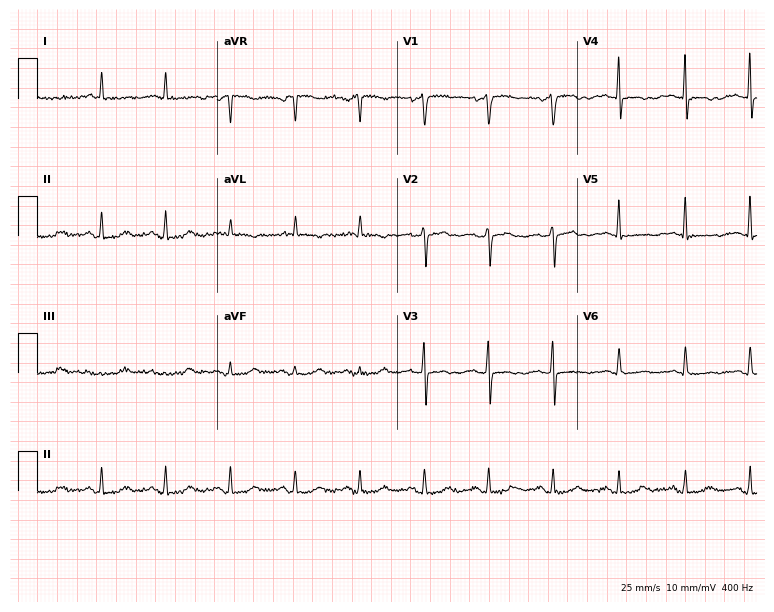
ECG (7.3-second recording at 400 Hz) — a woman, 67 years old. Screened for six findings — first-degree AV block, right bundle branch block, left bundle branch block, sinus bradycardia, atrial fibrillation, sinus tachycardia — none is recorded.